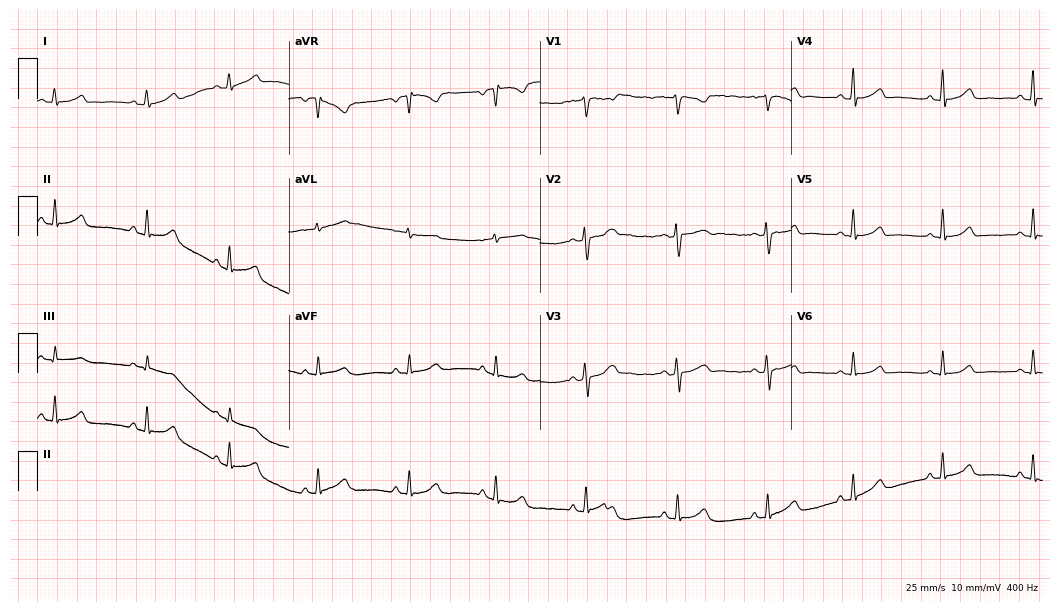
ECG — a female patient, 37 years old. Labelled as a normal ECG.